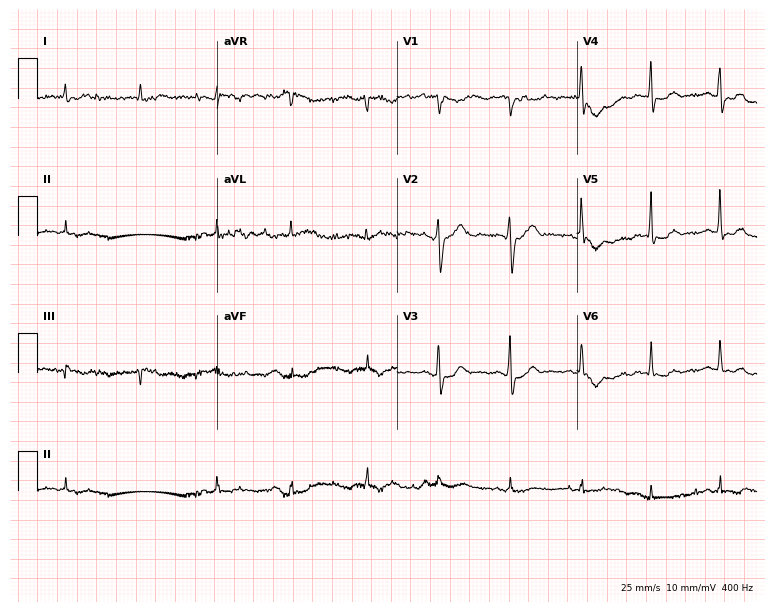
12-lead ECG from an 80-year-old male. Screened for six findings — first-degree AV block, right bundle branch block, left bundle branch block, sinus bradycardia, atrial fibrillation, sinus tachycardia — none is recorded.